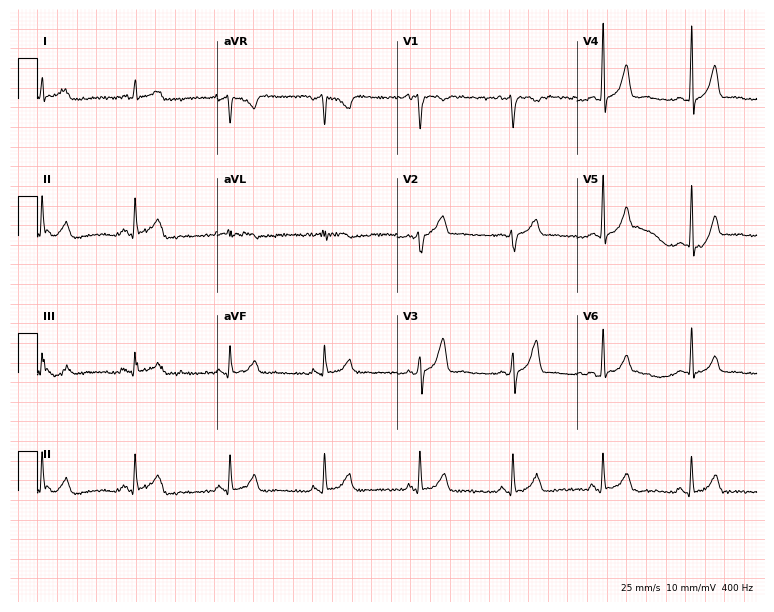
Resting 12-lead electrocardiogram (7.3-second recording at 400 Hz). Patient: a 49-year-old man. Read as a normal ECG.